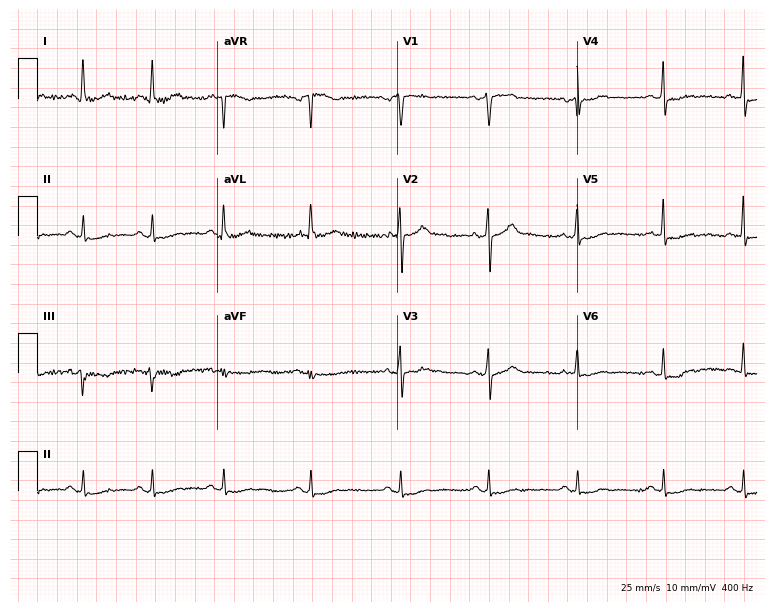
Standard 12-lead ECG recorded from a male patient, 73 years old (7.3-second recording at 400 Hz). None of these six findings is recorded: first-degree AV block, right bundle branch block, left bundle branch block, sinus bradycardia, atrial fibrillation, sinus tachycardia.